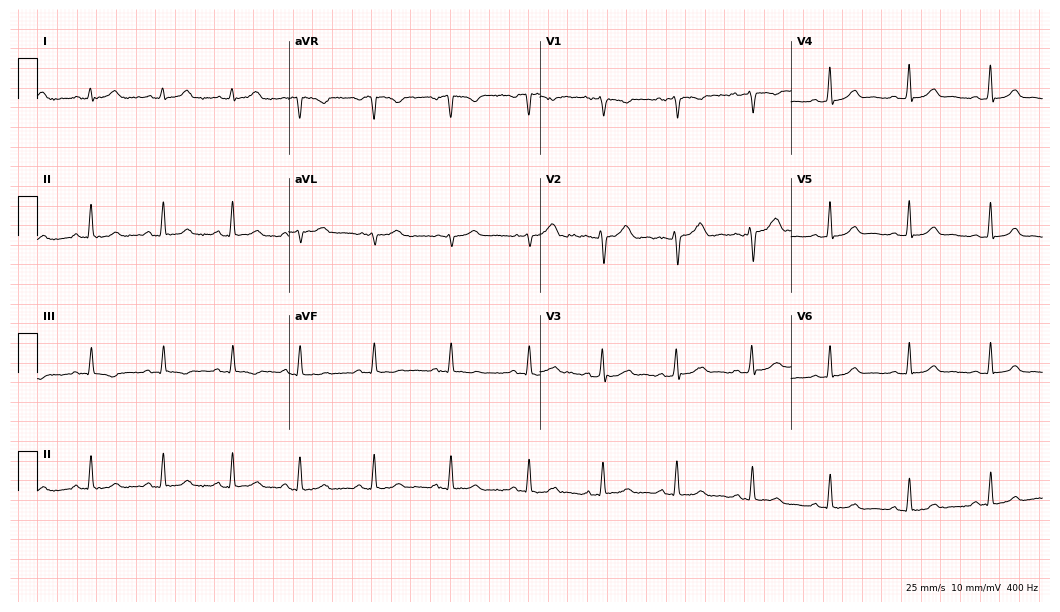
ECG (10.2-second recording at 400 Hz) — a 28-year-old female. Labelled as a normal ECG.